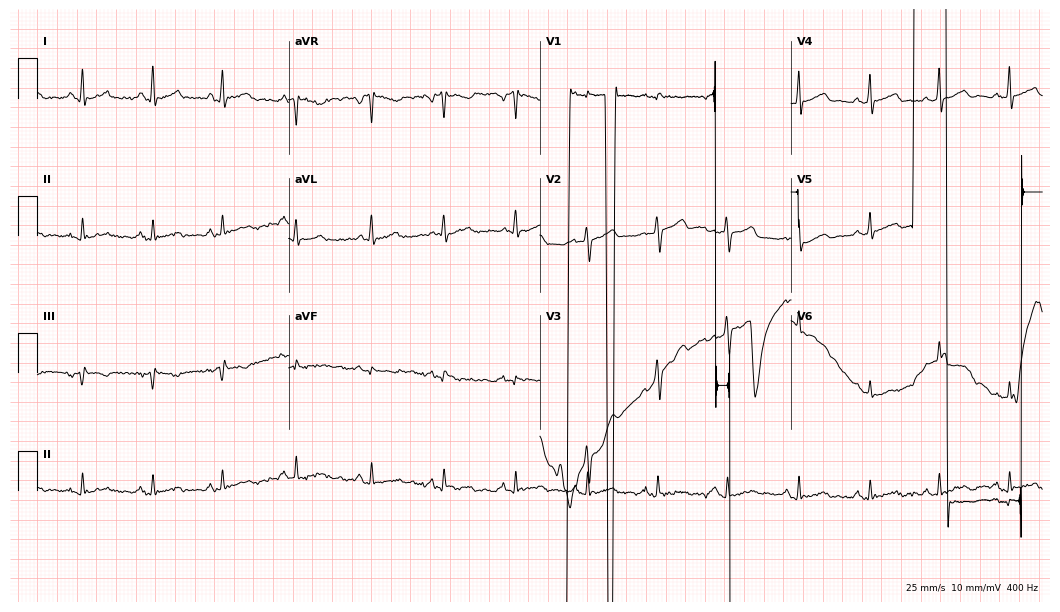
ECG (10.2-second recording at 400 Hz) — a 49-year-old woman. Screened for six findings — first-degree AV block, right bundle branch block (RBBB), left bundle branch block (LBBB), sinus bradycardia, atrial fibrillation (AF), sinus tachycardia — none is recorded.